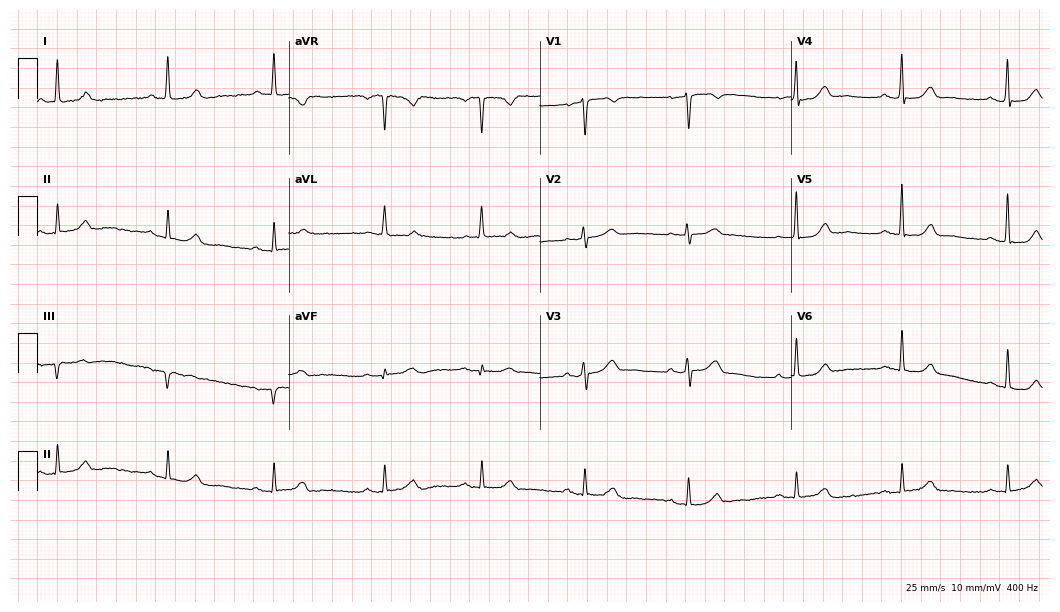
12-lead ECG from a 52-year-old female. Labelled as a normal ECG.